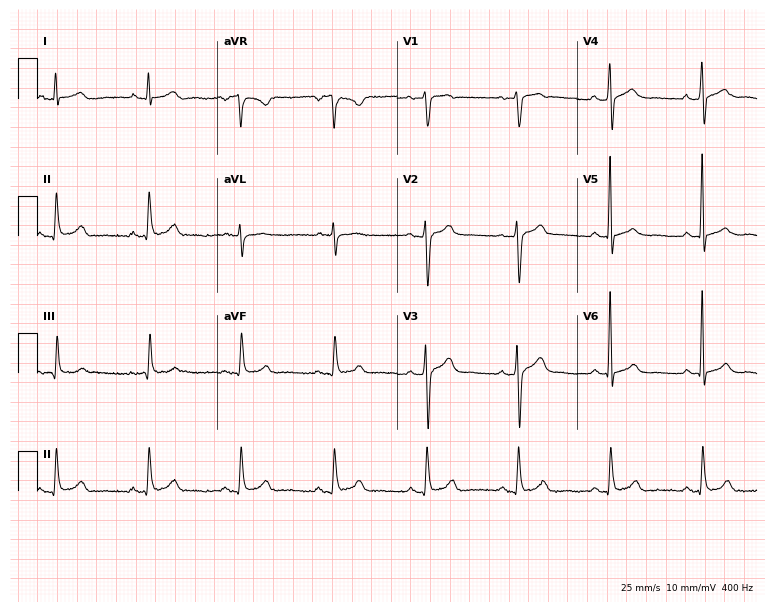
Electrocardiogram (7.3-second recording at 400 Hz), a male, 56 years old. Overall reading on record: normal ECG.